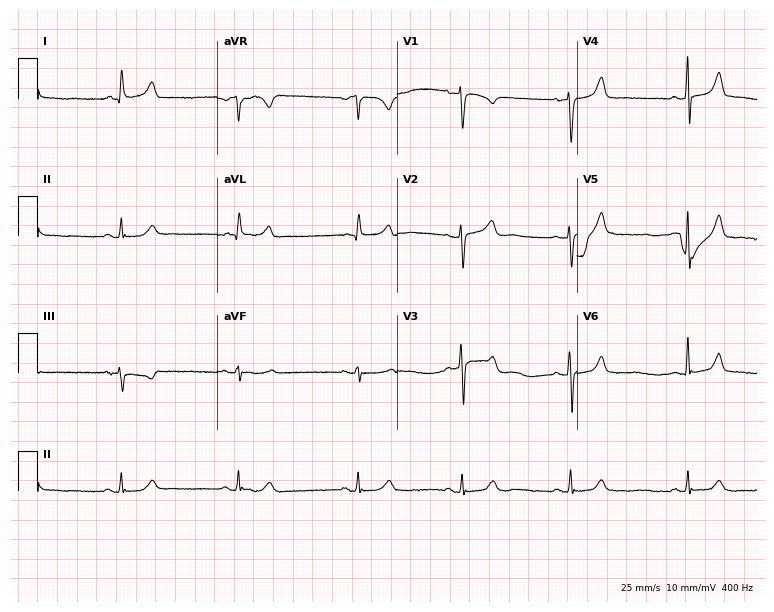
Resting 12-lead electrocardiogram. Patient: a 36-year-old female. None of these six findings is recorded: first-degree AV block, right bundle branch block, left bundle branch block, sinus bradycardia, atrial fibrillation, sinus tachycardia.